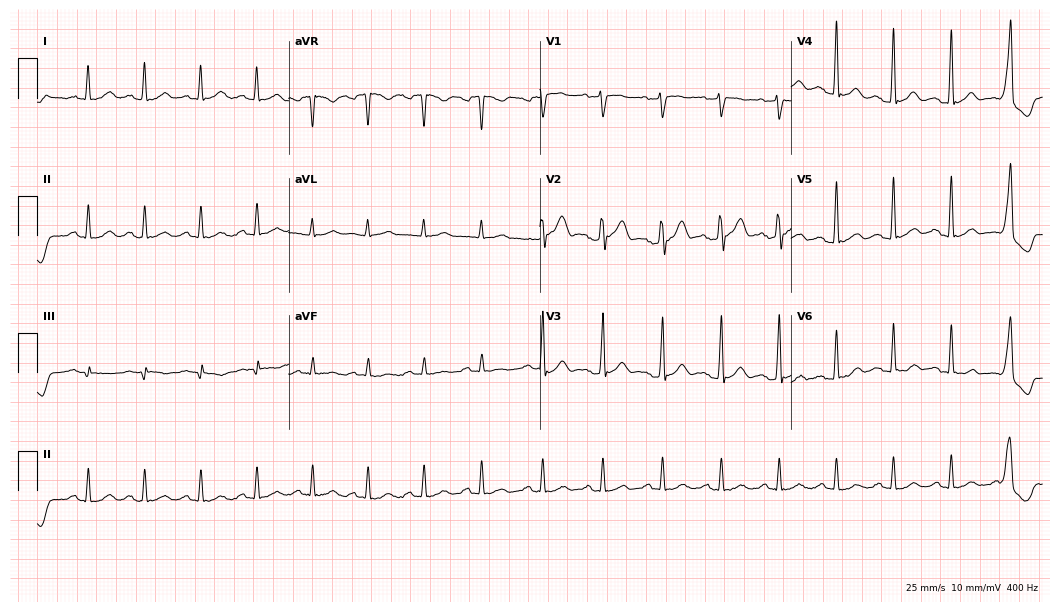
Resting 12-lead electrocardiogram (10.2-second recording at 400 Hz). Patient: a 36-year-old male. The tracing shows sinus tachycardia (a sinus rate of 100 beats per minute or more).